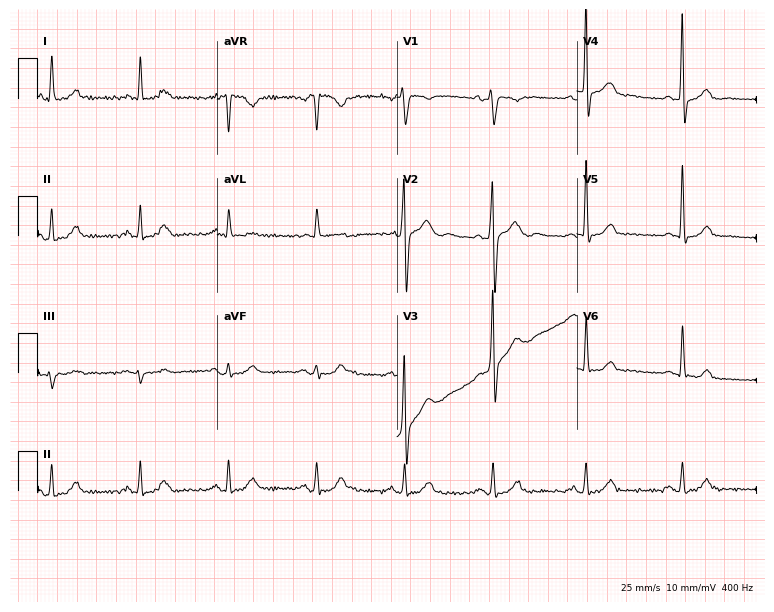
12-lead ECG (7.3-second recording at 400 Hz) from a 50-year-old man. Screened for six findings — first-degree AV block, right bundle branch block, left bundle branch block, sinus bradycardia, atrial fibrillation, sinus tachycardia — none is recorded. Only these six findings were labelled.